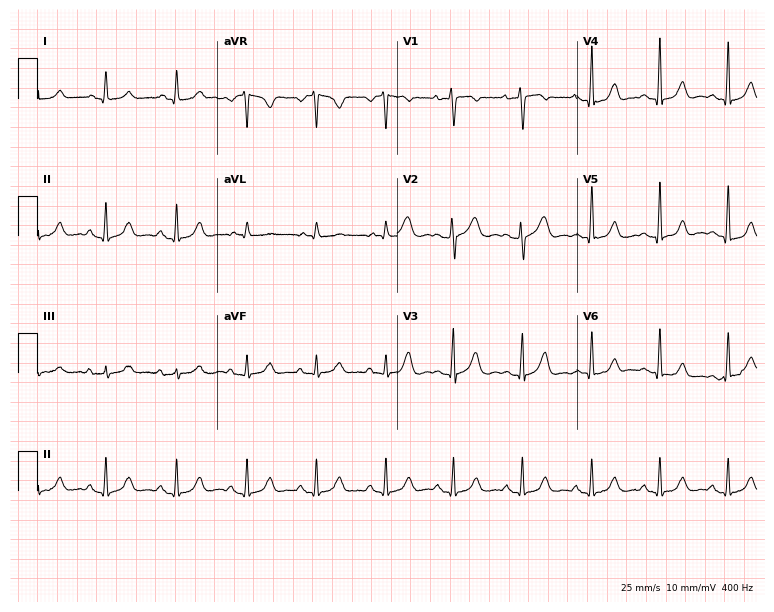
12-lead ECG from a female, 51 years old (7.3-second recording at 400 Hz). Recorded interpretation: within normal limits.